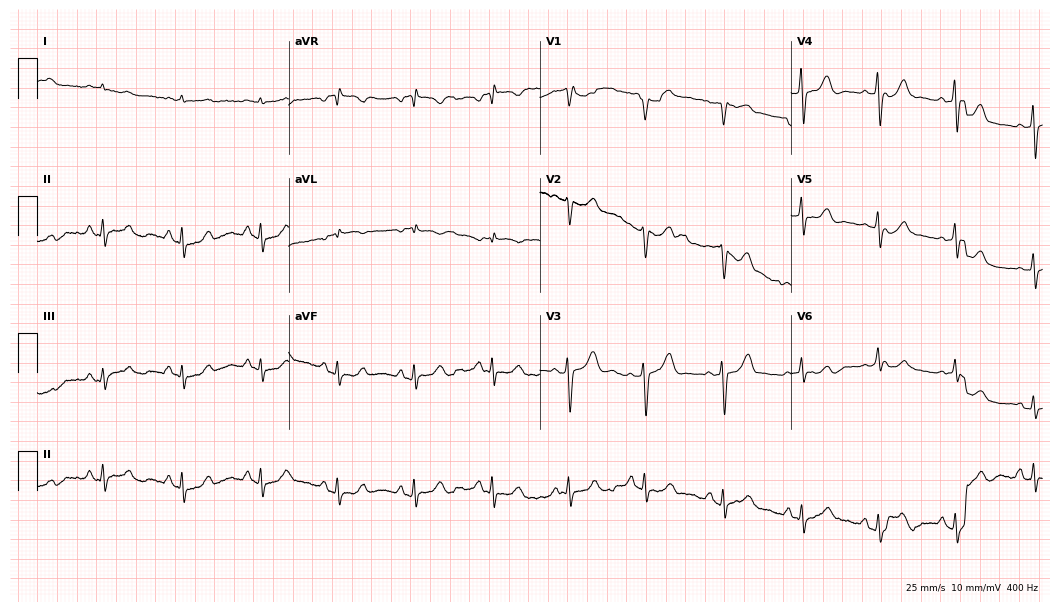
Resting 12-lead electrocardiogram. Patient: an 82-year-old male. None of these six findings is recorded: first-degree AV block, right bundle branch block, left bundle branch block, sinus bradycardia, atrial fibrillation, sinus tachycardia.